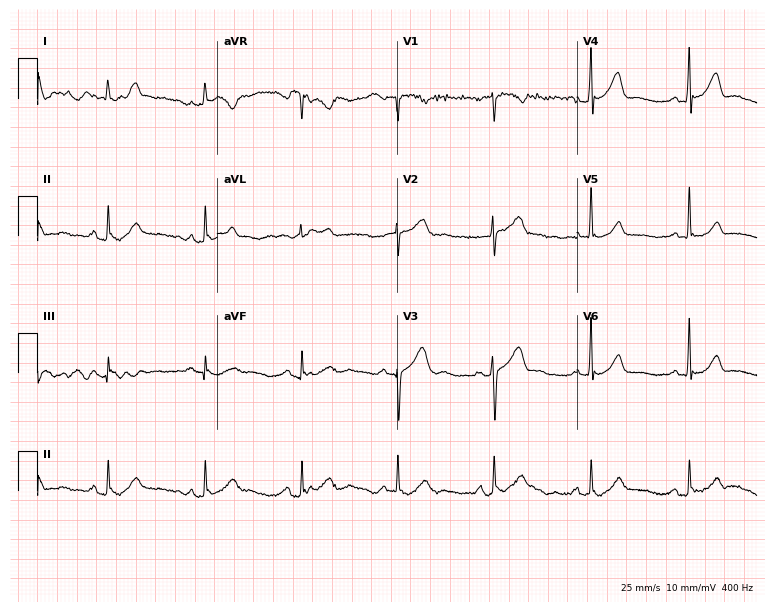
Resting 12-lead electrocardiogram. Patient: a male, 65 years old. None of these six findings is recorded: first-degree AV block, right bundle branch block, left bundle branch block, sinus bradycardia, atrial fibrillation, sinus tachycardia.